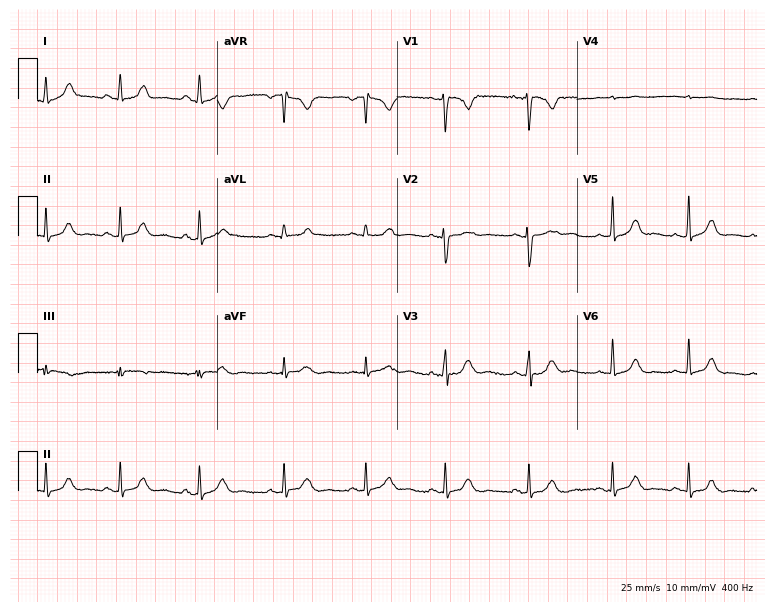
Resting 12-lead electrocardiogram. Patient: a 23-year-old female. None of these six findings is recorded: first-degree AV block, right bundle branch block (RBBB), left bundle branch block (LBBB), sinus bradycardia, atrial fibrillation (AF), sinus tachycardia.